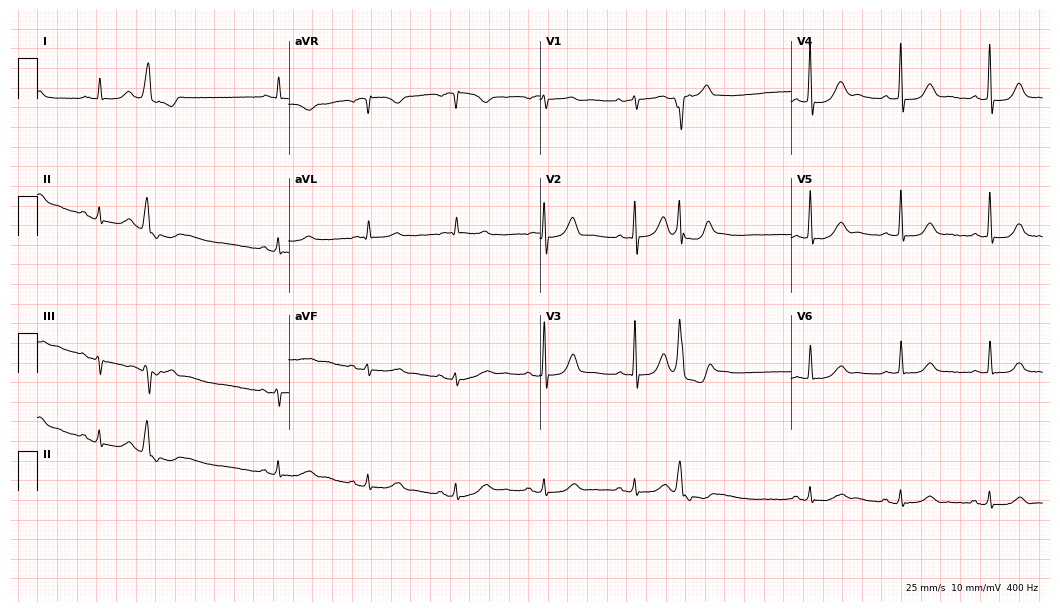
12-lead ECG from an 82-year-old man. Screened for six findings — first-degree AV block, right bundle branch block (RBBB), left bundle branch block (LBBB), sinus bradycardia, atrial fibrillation (AF), sinus tachycardia — none is recorded. Findings outside these six are not listed.